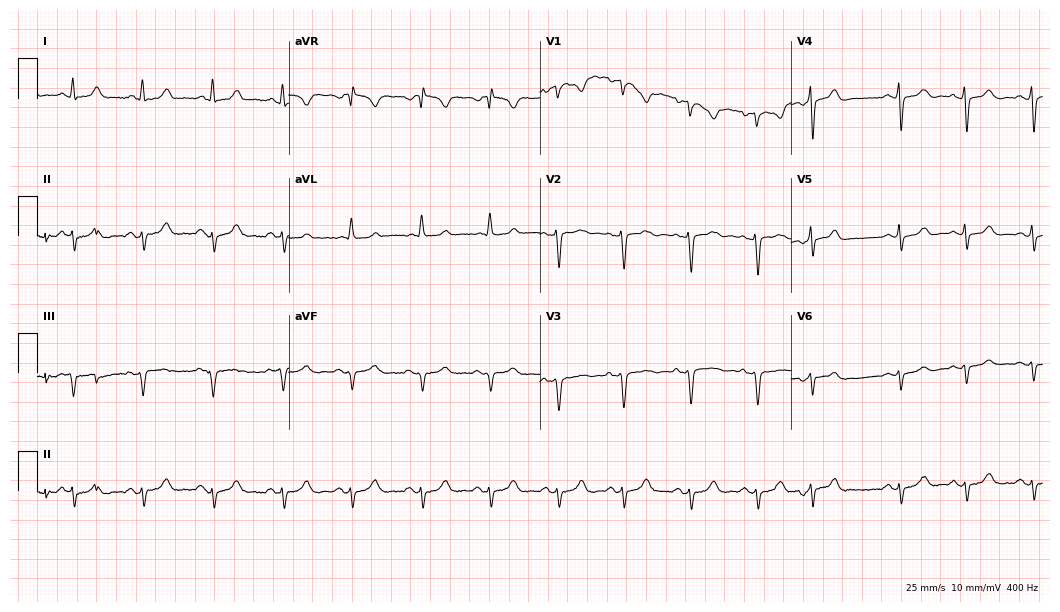
Resting 12-lead electrocardiogram. Patient: a female, 50 years old. None of these six findings is recorded: first-degree AV block, right bundle branch block, left bundle branch block, sinus bradycardia, atrial fibrillation, sinus tachycardia.